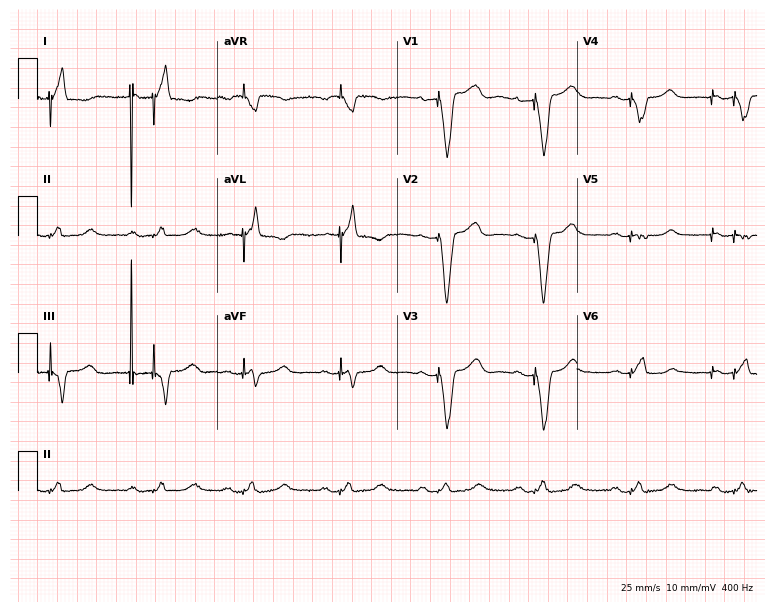
Electrocardiogram (7.3-second recording at 400 Hz), a 58-year-old female patient. Of the six screened findings (first-degree AV block, right bundle branch block (RBBB), left bundle branch block (LBBB), sinus bradycardia, atrial fibrillation (AF), sinus tachycardia), none is recorded.